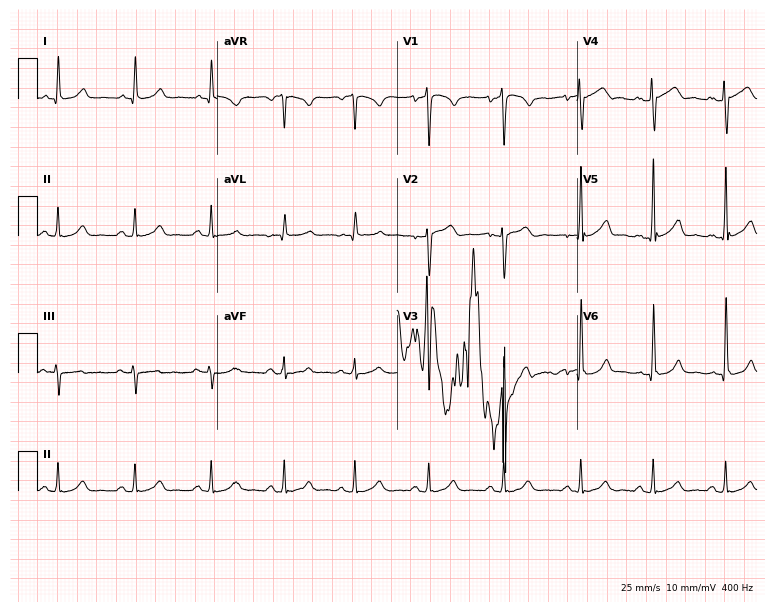
12-lead ECG from a male patient, 24 years old. Recorded interpretation: within normal limits.